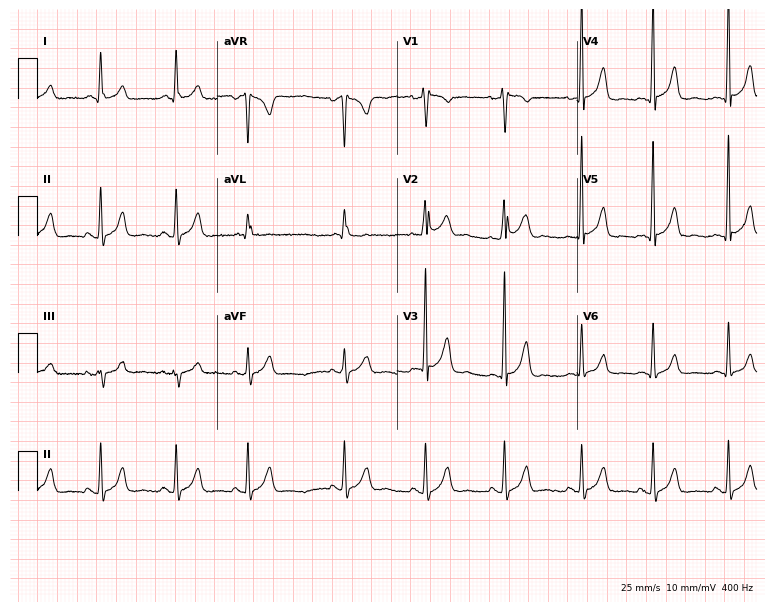
Electrocardiogram, a female, 32 years old. Of the six screened findings (first-degree AV block, right bundle branch block (RBBB), left bundle branch block (LBBB), sinus bradycardia, atrial fibrillation (AF), sinus tachycardia), none is recorded. Findings outside these six are not listed.